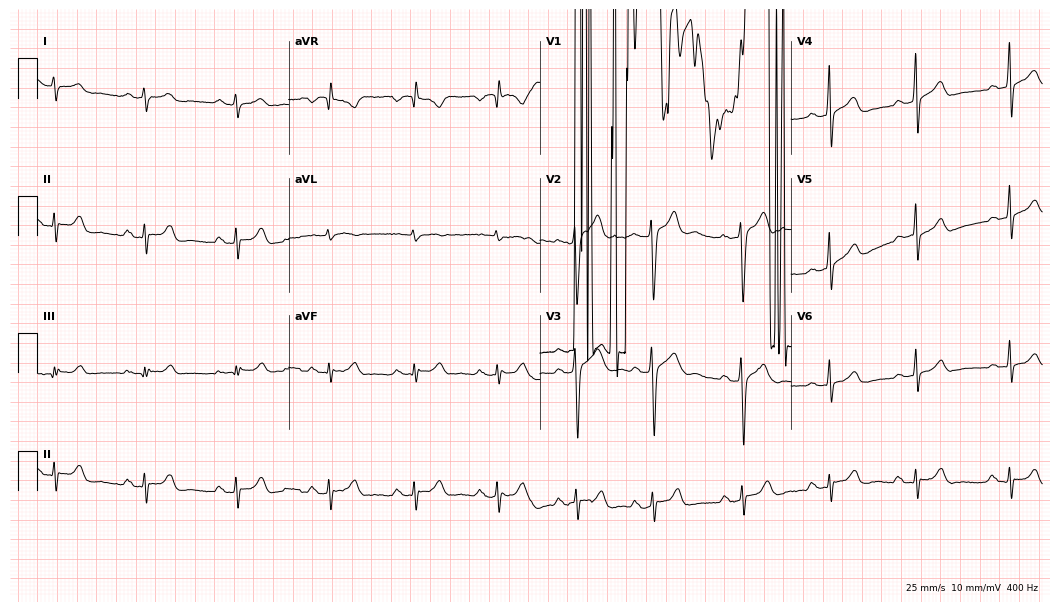
12-lead ECG from a man, 25 years old (10.2-second recording at 400 Hz). No first-degree AV block, right bundle branch block (RBBB), left bundle branch block (LBBB), sinus bradycardia, atrial fibrillation (AF) or sinus tachycardia recorded for this tracing.